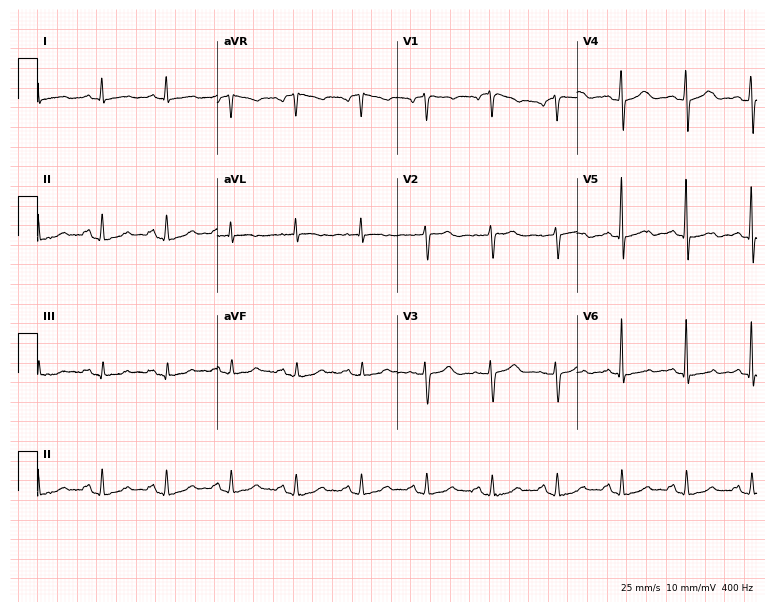
Standard 12-lead ECG recorded from a 67-year-old female patient (7.3-second recording at 400 Hz). None of these six findings is recorded: first-degree AV block, right bundle branch block, left bundle branch block, sinus bradycardia, atrial fibrillation, sinus tachycardia. Findings outside these six are not listed.